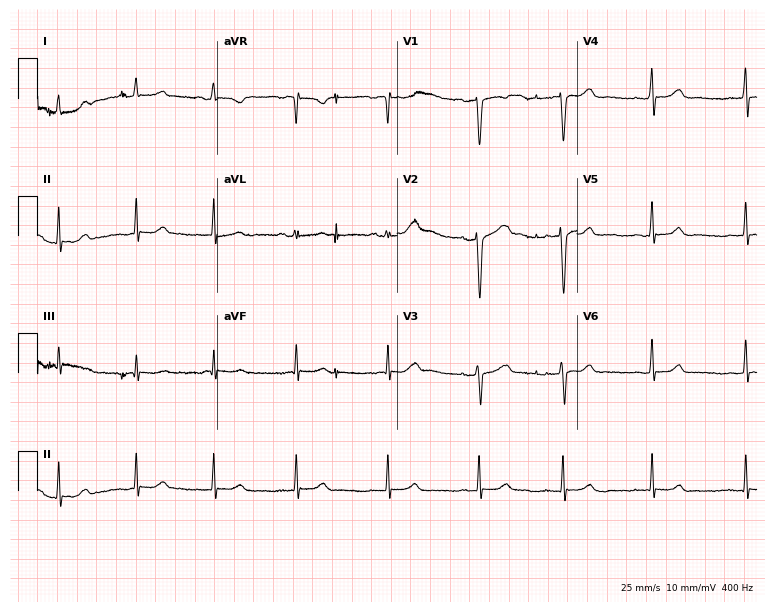
12-lead ECG from a 21-year-old female patient (7.3-second recording at 400 Hz). No first-degree AV block, right bundle branch block (RBBB), left bundle branch block (LBBB), sinus bradycardia, atrial fibrillation (AF) or sinus tachycardia recorded for this tracing.